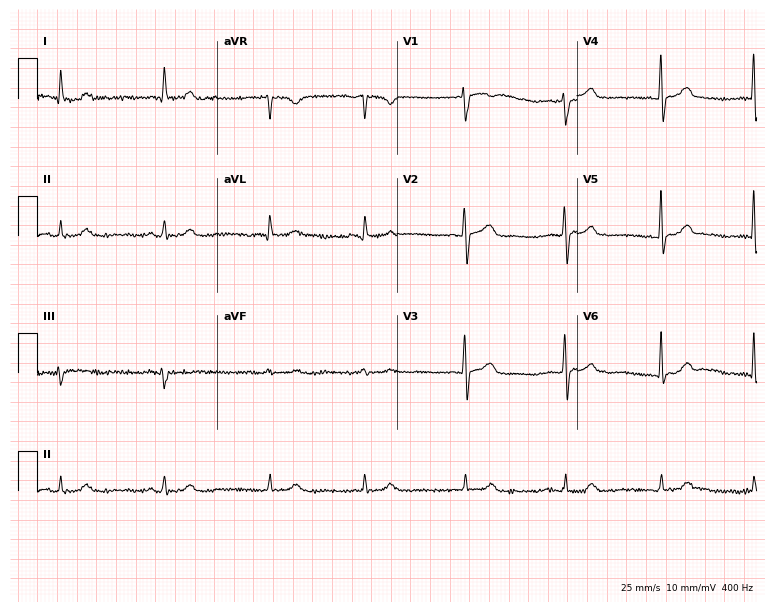
Electrocardiogram (7.3-second recording at 400 Hz), a woman, 41 years old. Of the six screened findings (first-degree AV block, right bundle branch block, left bundle branch block, sinus bradycardia, atrial fibrillation, sinus tachycardia), none is recorded. Other findings, if any, are not listed.